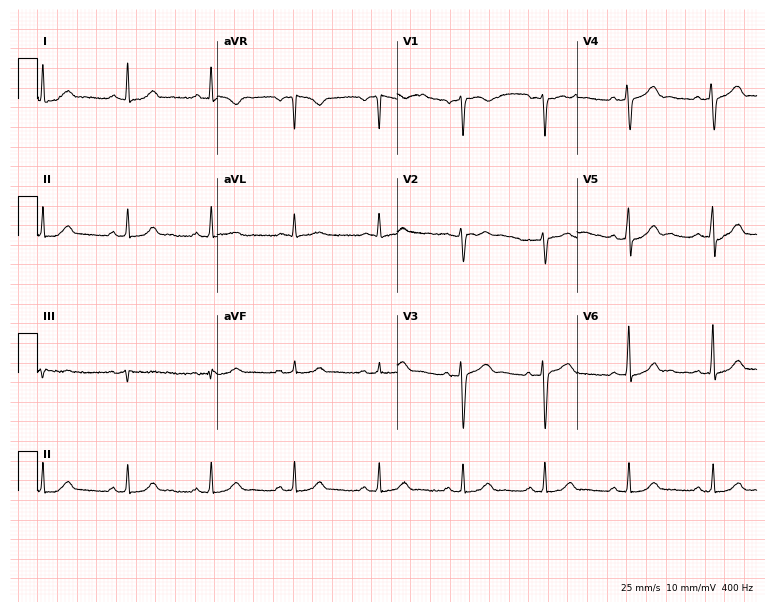
12-lead ECG from a man, 52 years old (7.3-second recording at 400 Hz). Recorded interpretation: within normal limits.